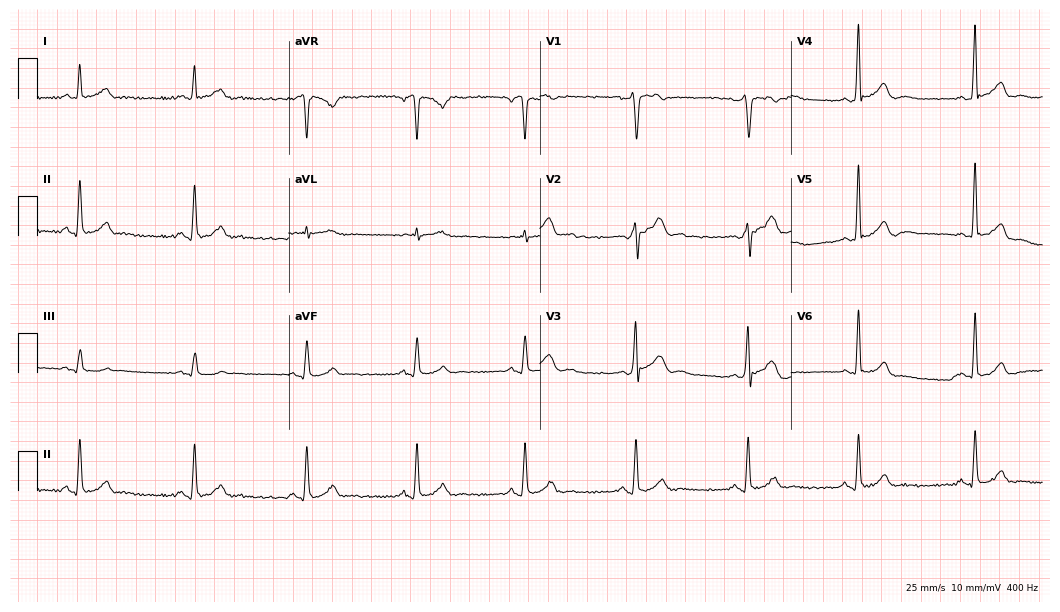
12-lead ECG from a 46-year-old male patient. Screened for six findings — first-degree AV block, right bundle branch block, left bundle branch block, sinus bradycardia, atrial fibrillation, sinus tachycardia — none is recorded. Findings outside these six are not listed.